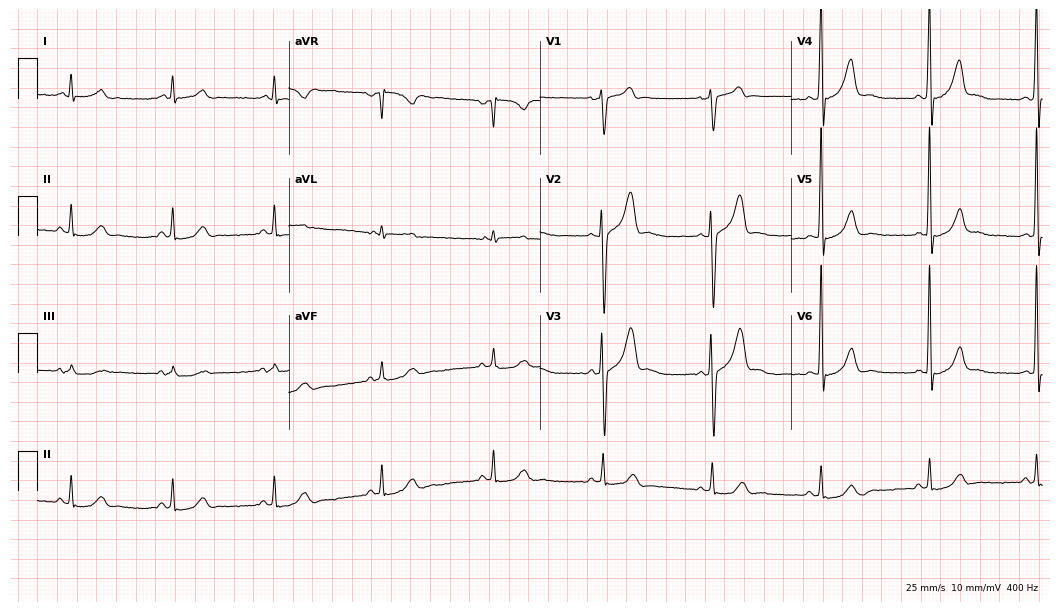
Resting 12-lead electrocardiogram (10.2-second recording at 400 Hz). Patient: a 46-year-old female. Read as a normal ECG.